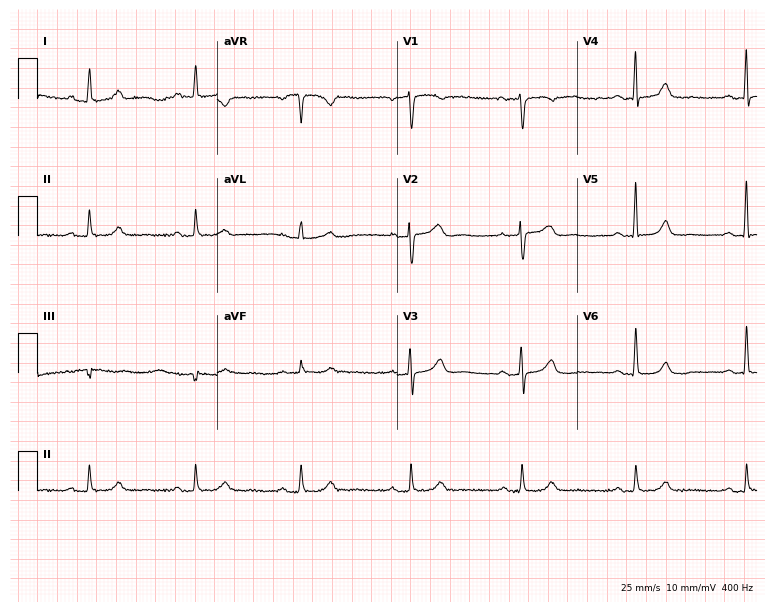
12-lead ECG from a female patient, 56 years old. No first-degree AV block, right bundle branch block (RBBB), left bundle branch block (LBBB), sinus bradycardia, atrial fibrillation (AF) or sinus tachycardia recorded for this tracing.